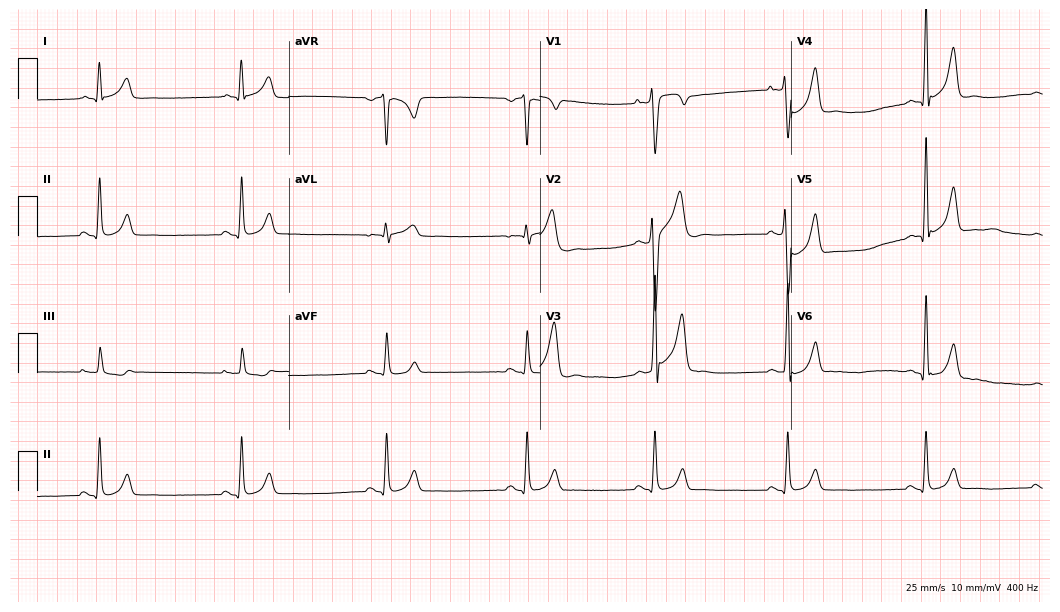
Standard 12-lead ECG recorded from a 36-year-old man (10.2-second recording at 400 Hz). None of these six findings is recorded: first-degree AV block, right bundle branch block, left bundle branch block, sinus bradycardia, atrial fibrillation, sinus tachycardia. Findings outside these six are not listed.